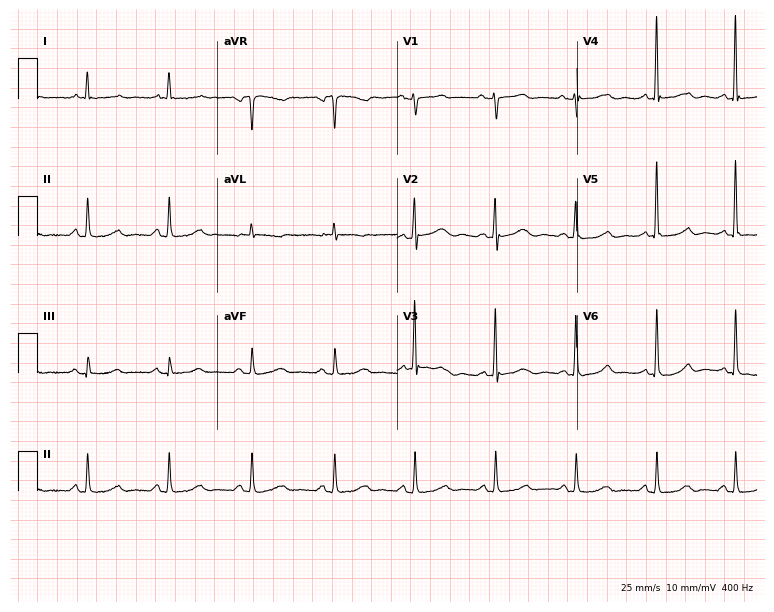
12-lead ECG from a woman, 68 years old. Screened for six findings — first-degree AV block, right bundle branch block, left bundle branch block, sinus bradycardia, atrial fibrillation, sinus tachycardia — none is recorded.